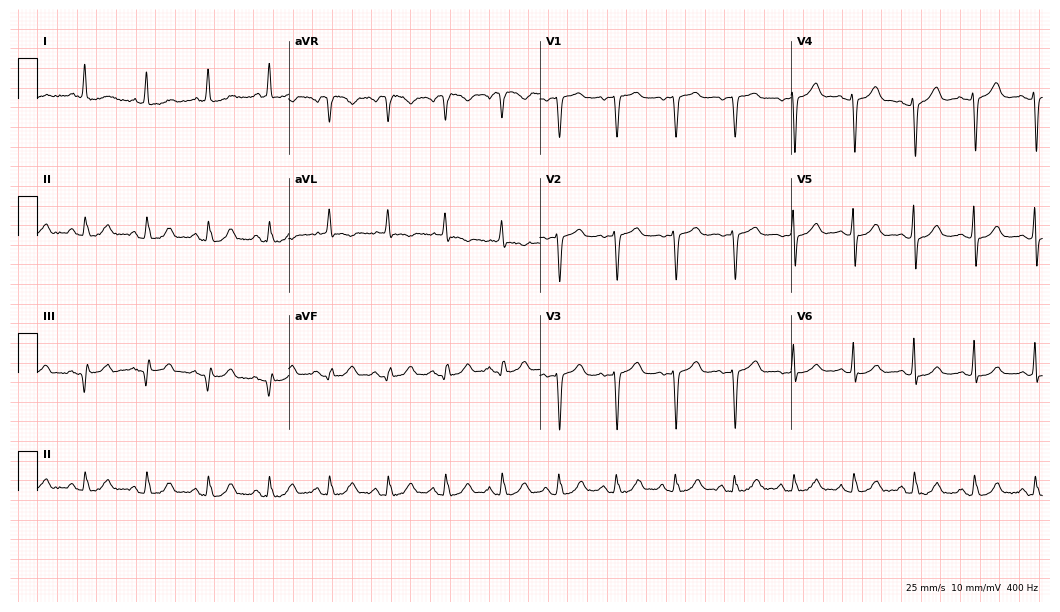
12-lead ECG from a woman, 75 years old. Screened for six findings — first-degree AV block, right bundle branch block, left bundle branch block, sinus bradycardia, atrial fibrillation, sinus tachycardia — none is recorded. Only these six findings were labelled.